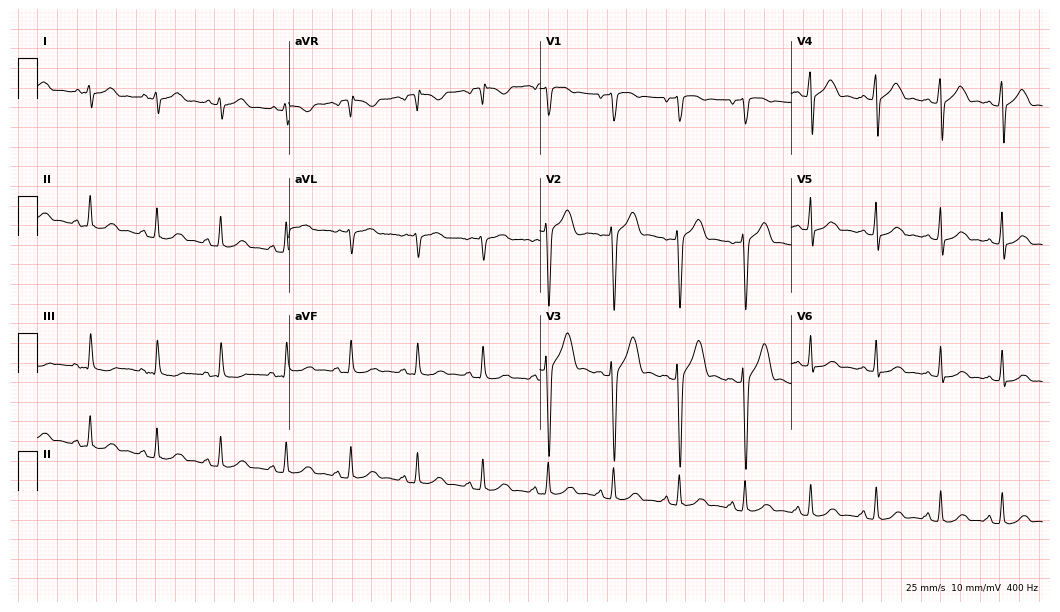
Resting 12-lead electrocardiogram (10.2-second recording at 400 Hz). Patient: a man, 28 years old. Read as a normal ECG.